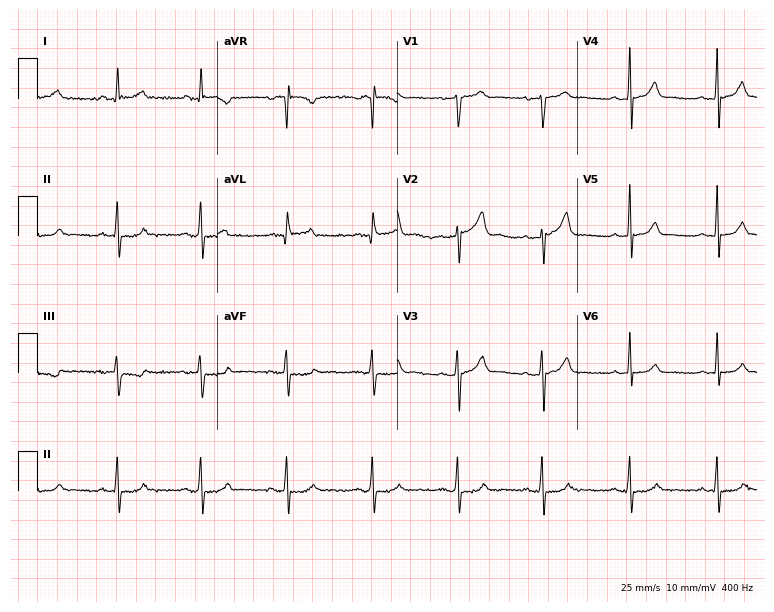
12-lead ECG from a 60-year-old woman. Recorded interpretation: within normal limits.